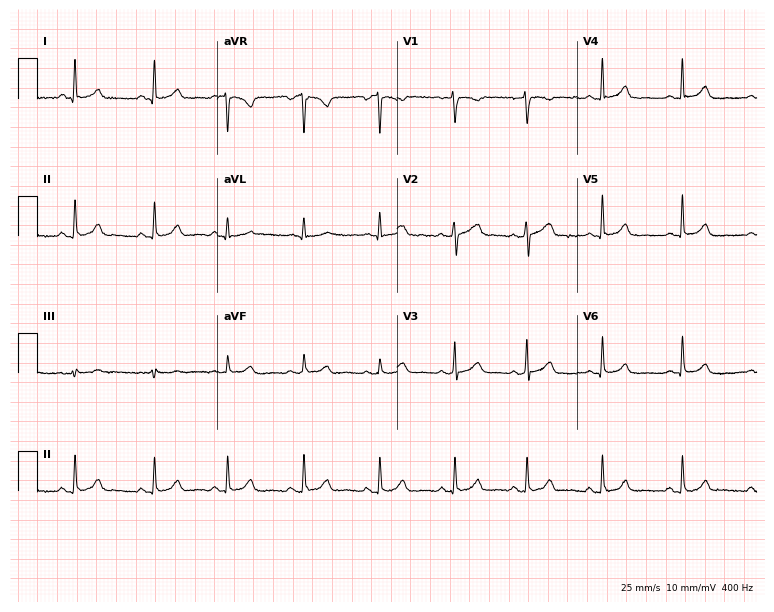
Standard 12-lead ECG recorded from a 33-year-old female patient. Read as a normal ECG.